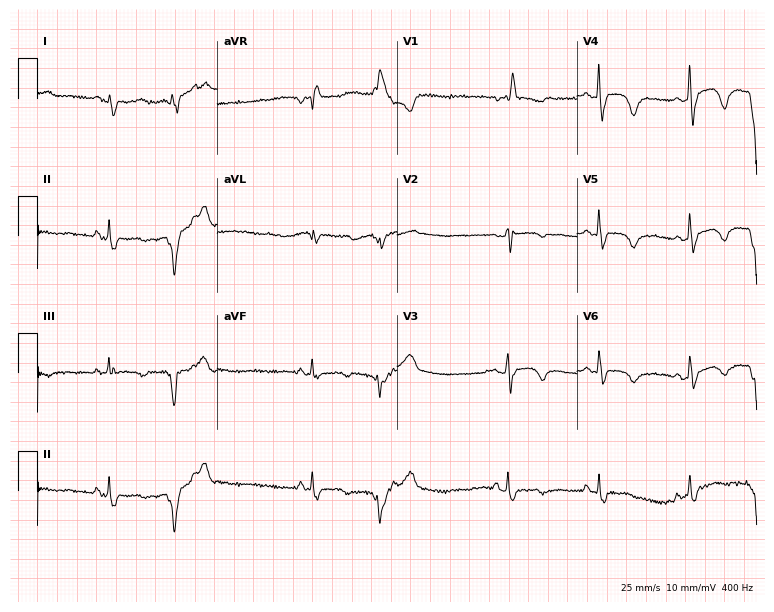
12-lead ECG from a 51-year-old female patient. Shows right bundle branch block.